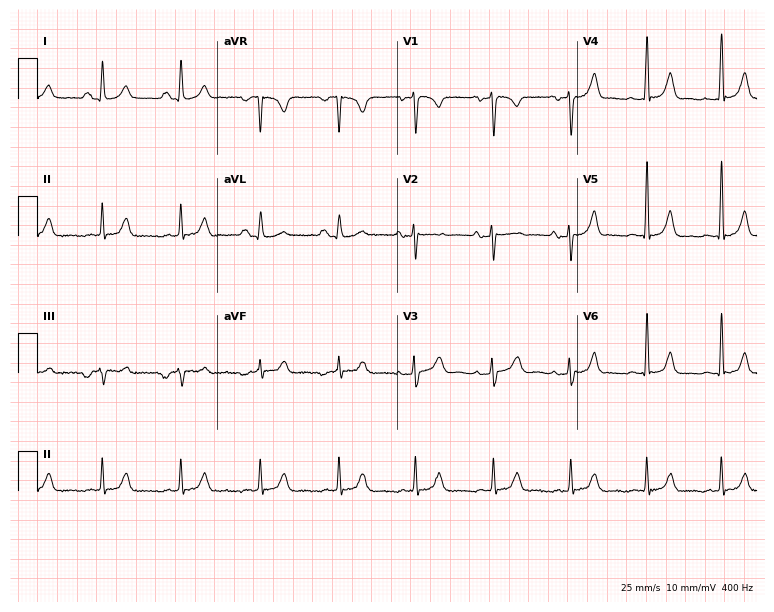
Standard 12-lead ECG recorded from a 26-year-old female patient. Read as a normal ECG.